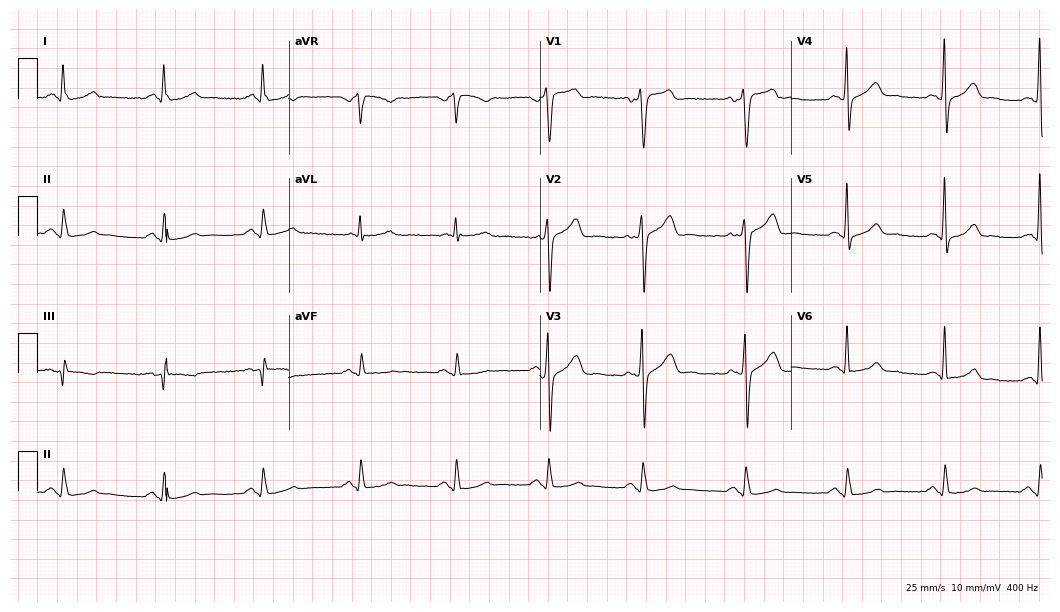
12-lead ECG from a 55-year-old male. No first-degree AV block, right bundle branch block, left bundle branch block, sinus bradycardia, atrial fibrillation or sinus tachycardia recorded for this tracing.